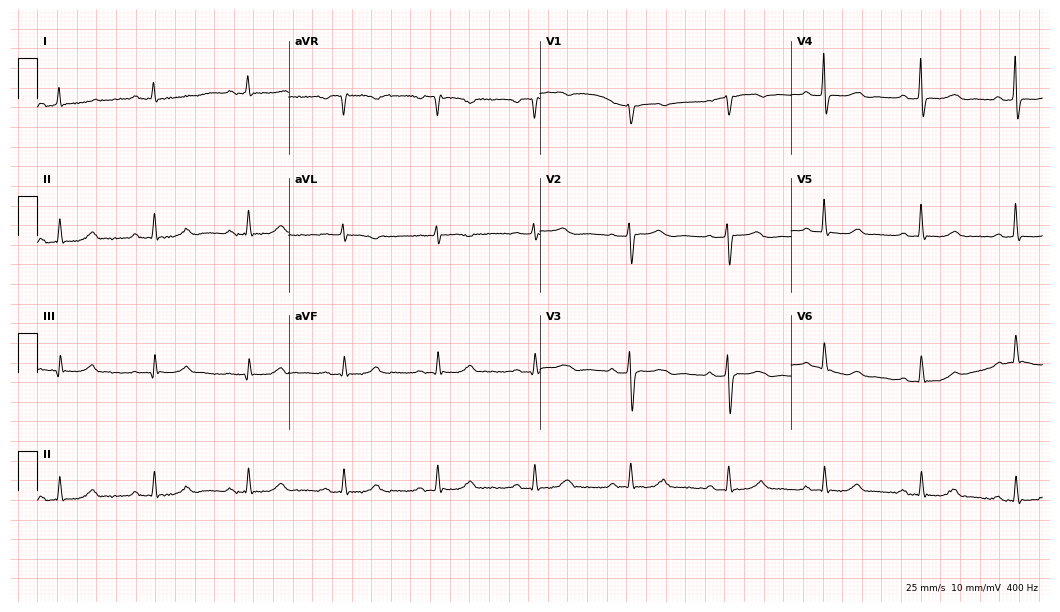
12-lead ECG (10.2-second recording at 400 Hz) from a female, 55 years old. Labelled as a normal ECG.